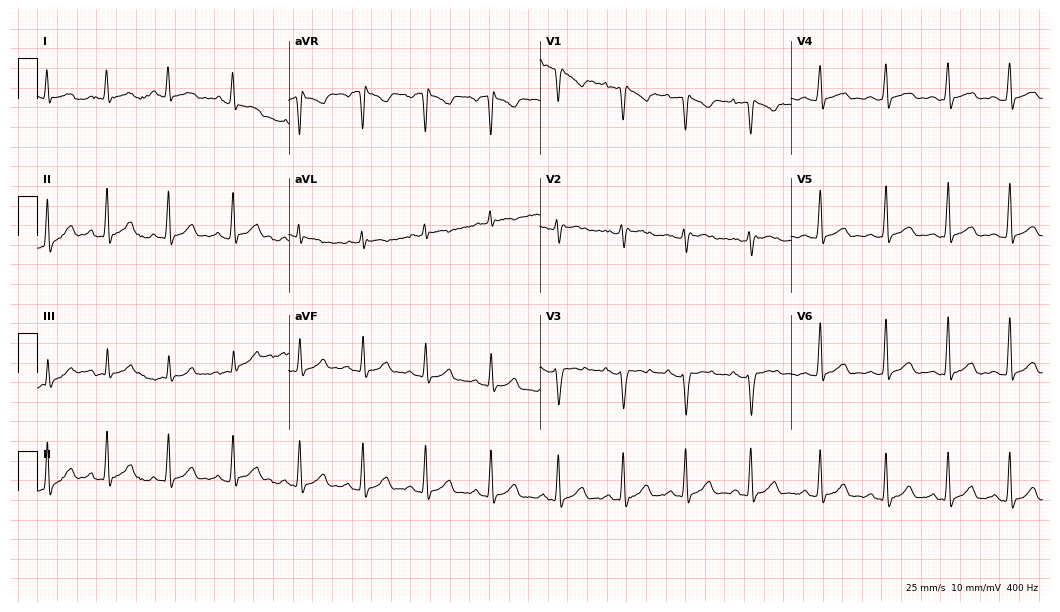
Standard 12-lead ECG recorded from an 18-year-old female patient (10.2-second recording at 400 Hz). None of these six findings is recorded: first-degree AV block, right bundle branch block, left bundle branch block, sinus bradycardia, atrial fibrillation, sinus tachycardia.